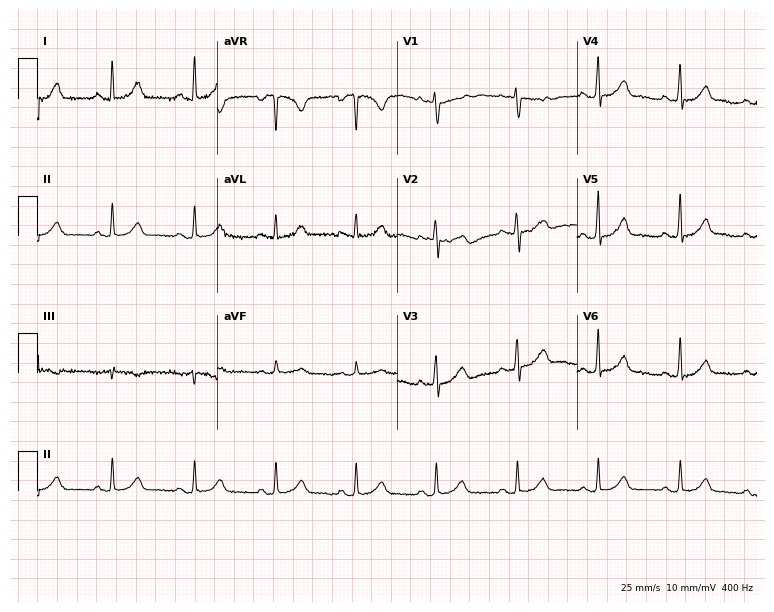
12-lead ECG from a female, 30 years old. Recorded interpretation: within normal limits.